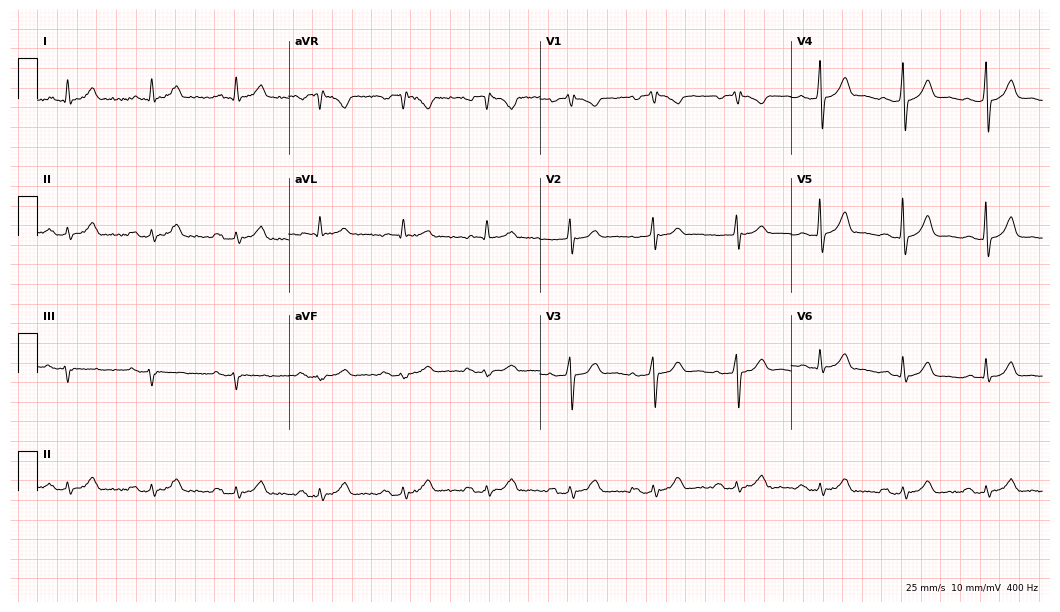
Standard 12-lead ECG recorded from a male, 80 years old. Read as a normal ECG.